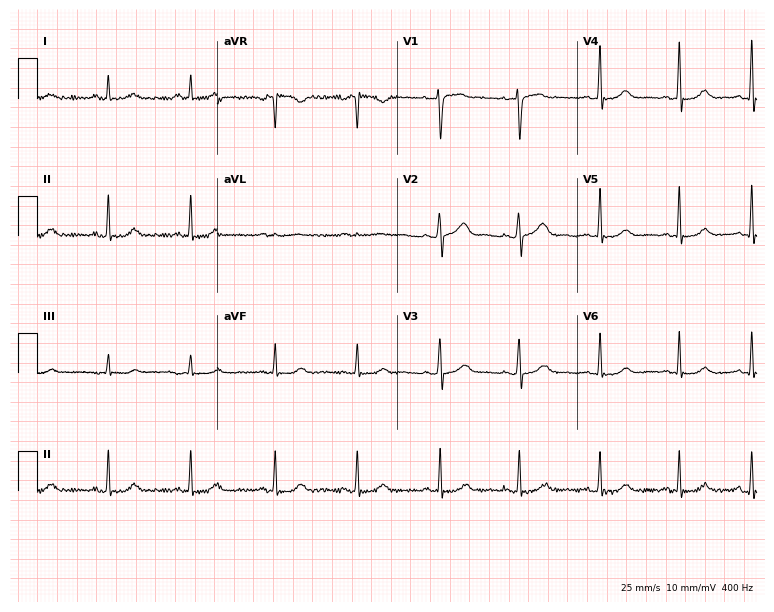
Electrocardiogram (7.3-second recording at 400 Hz), a female patient, 40 years old. Overall reading on record: normal ECG.